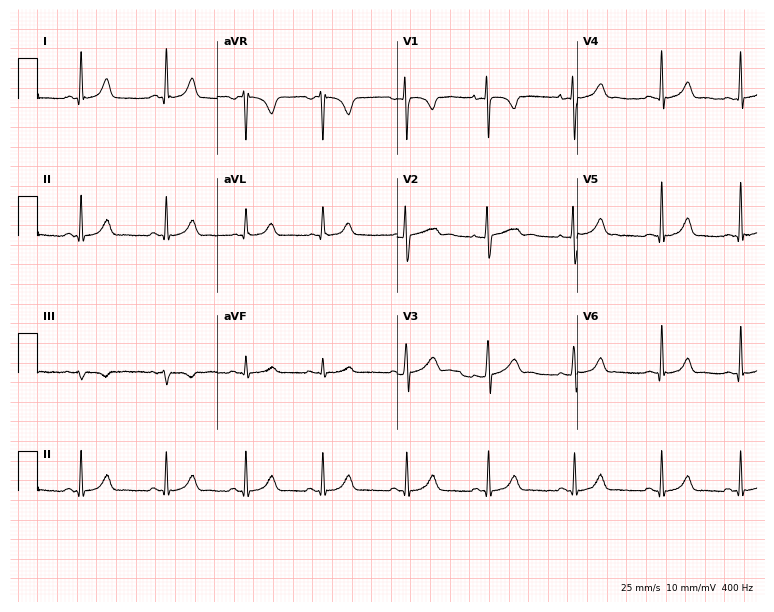
Resting 12-lead electrocardiogram. Patient: a female, 24 years old. None of these six findings is recorded: first-degree AV block, right bundle branch block, left bundle branch block, sinus bradycardia, atrial fibrillation, sinus tachycardia.